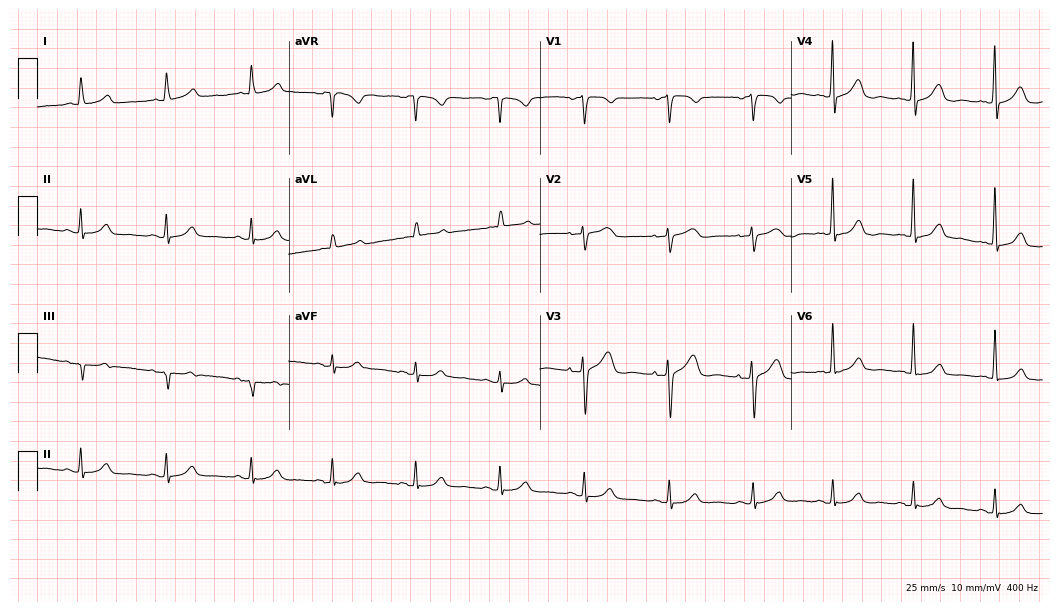
Electrocardiogram, a 78-year-old woman. Overall reading on record: normal ECG.